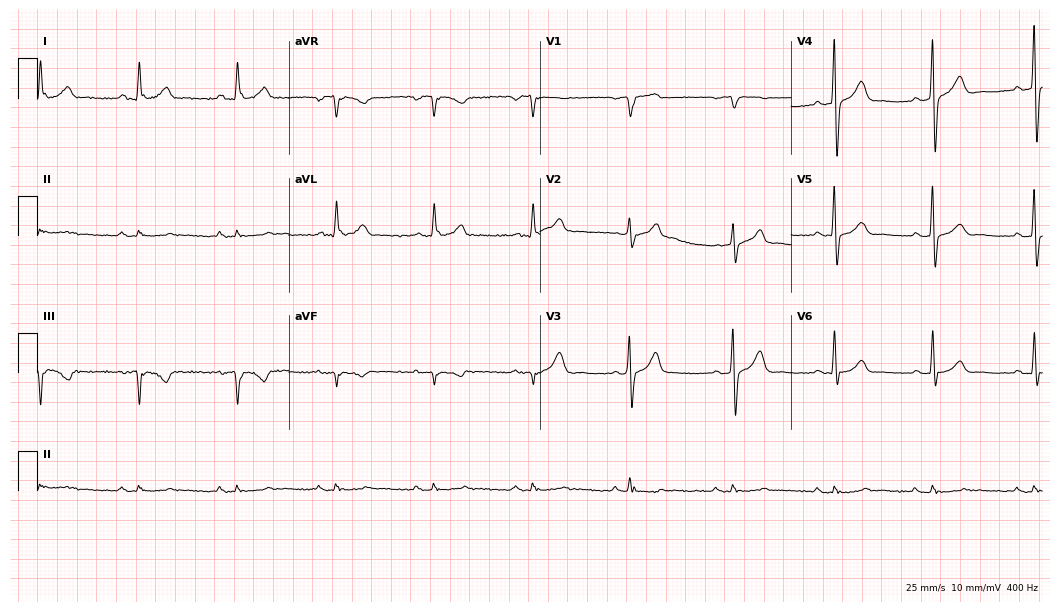
12-lead ECG from a man, 64 years old. Recorded interpretation: within normal limits.